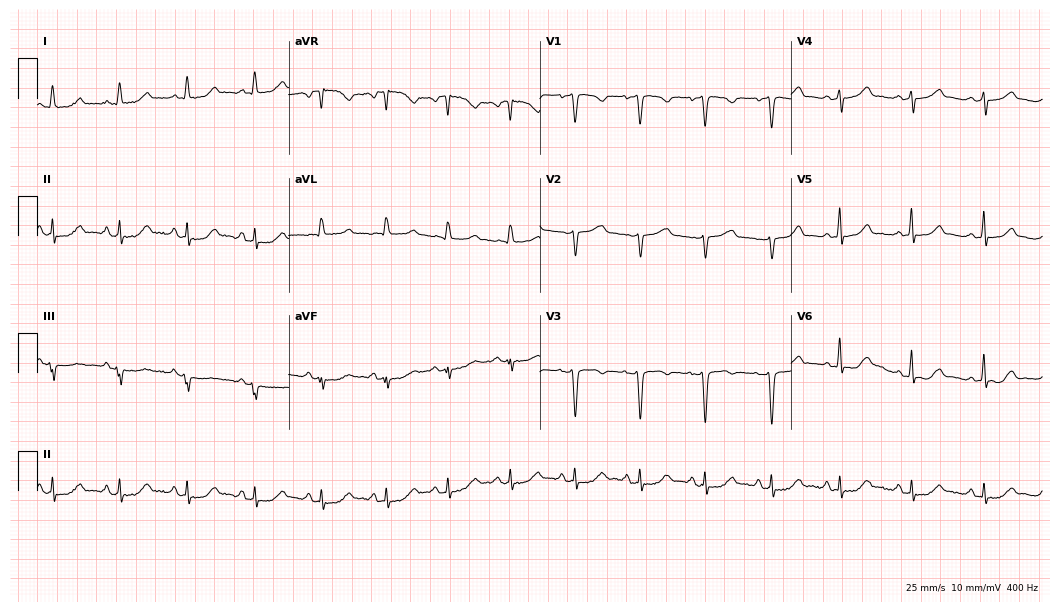
12-lead ECG (10.2-second recording at 400 Hz) from a female, 41 years old. Screened for six findings — first-degree AV block, right bundle branch block, left bundle branch block, sinus bradycardia, atrial fibrillation, sinus tachycardia — none is recorded. Findings outside these six are not listed.